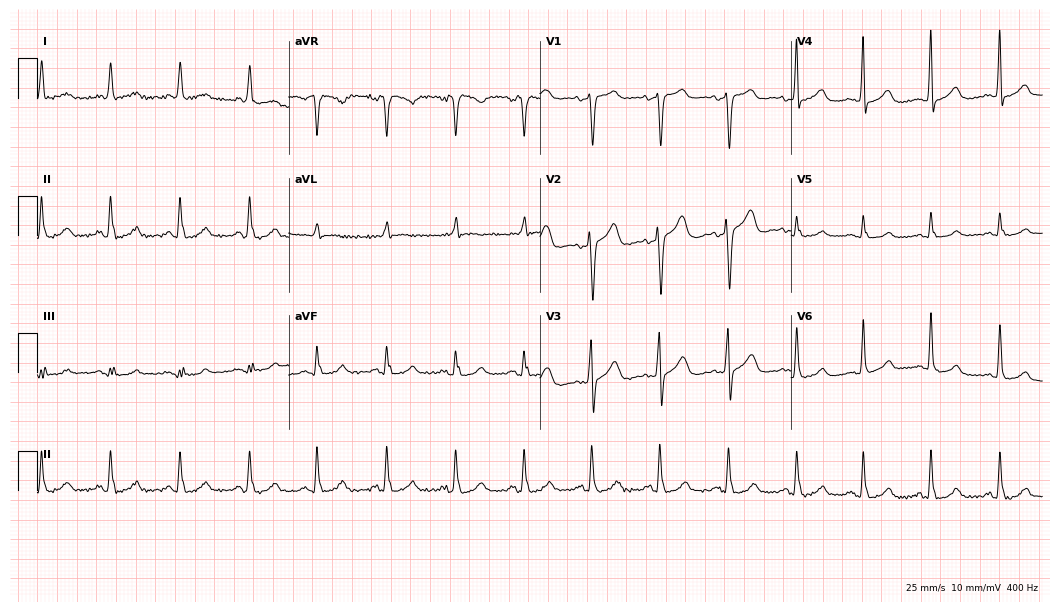
12-lead ECG from an 85-year-old female. Recorded interpretation: within normal limits.